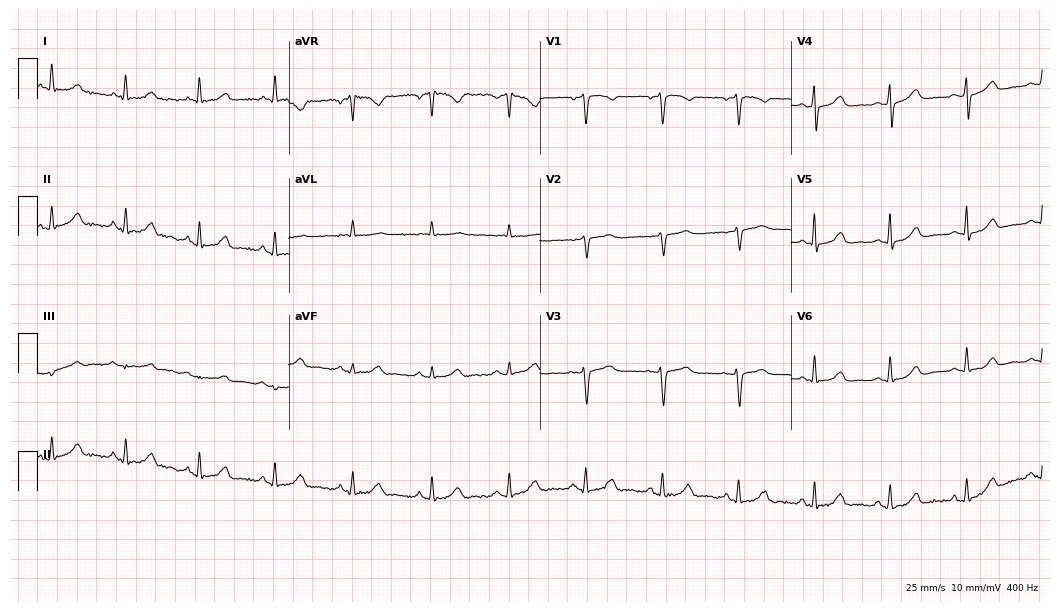
Electrocardiogram, a 50-year-old female patient. Overall reading on record: normal ECG.